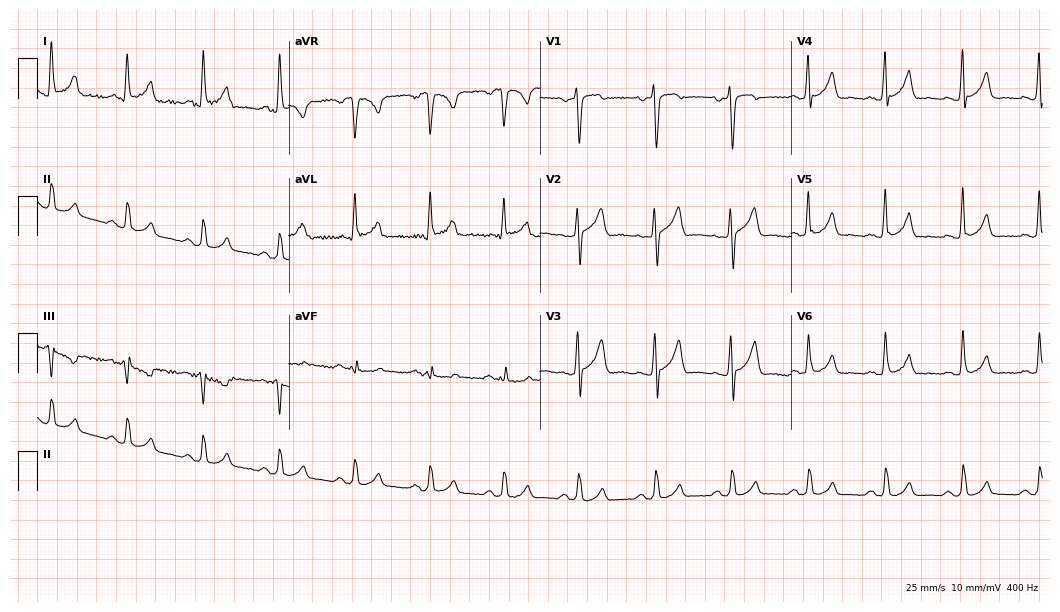
12-lead ECG from a male patient, 42 years old. Recorded interpretation: within normal limits.